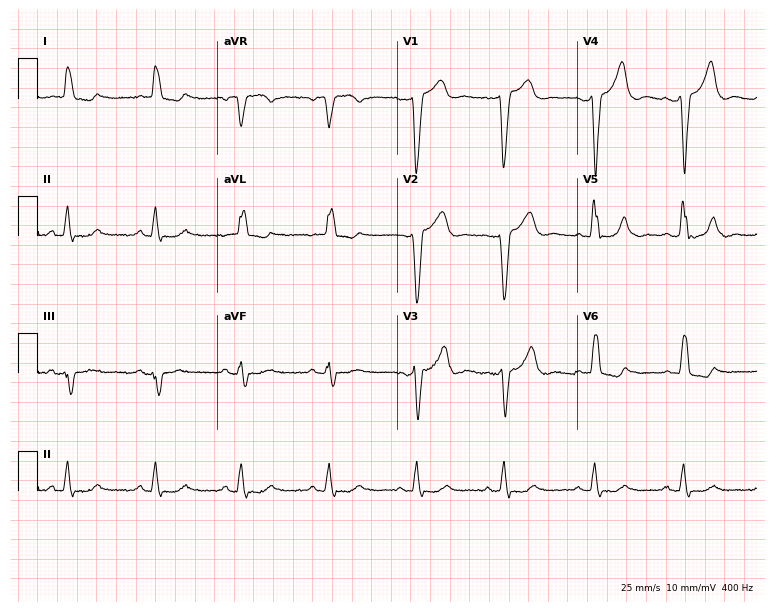
12-lead ECG from a woman, 75 years old. Findings include left bundle branch block.